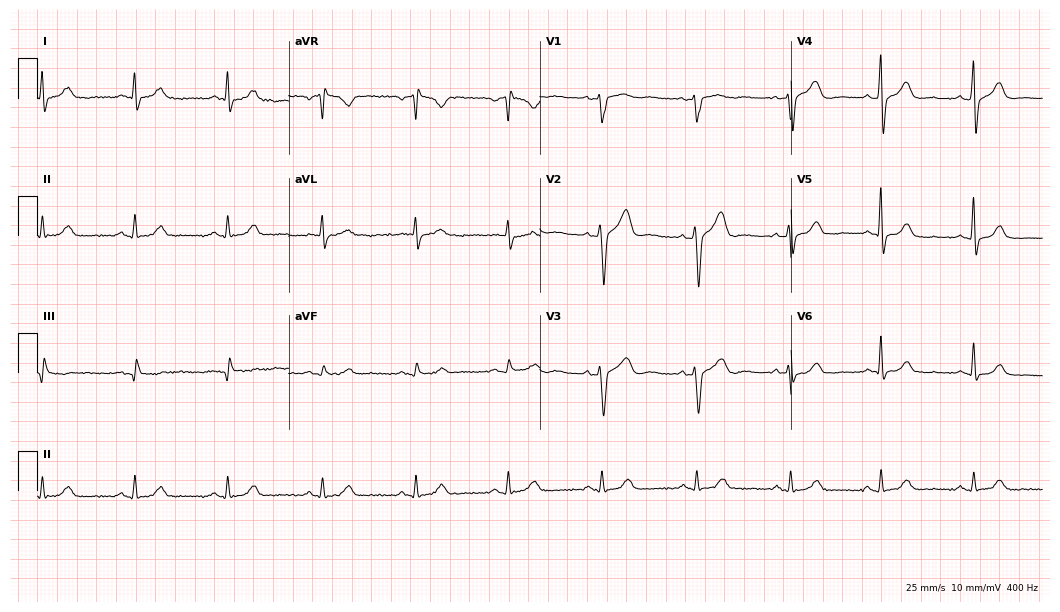
ECG (10.2-second recording at 400 Hz) — a man, 57 years old. Screened for six findings — first-degree AV block, right bundle branch block, left bundle branch block, sinus bradycardia, atrial fibrillation, sinus tachycardia — none is recorded.